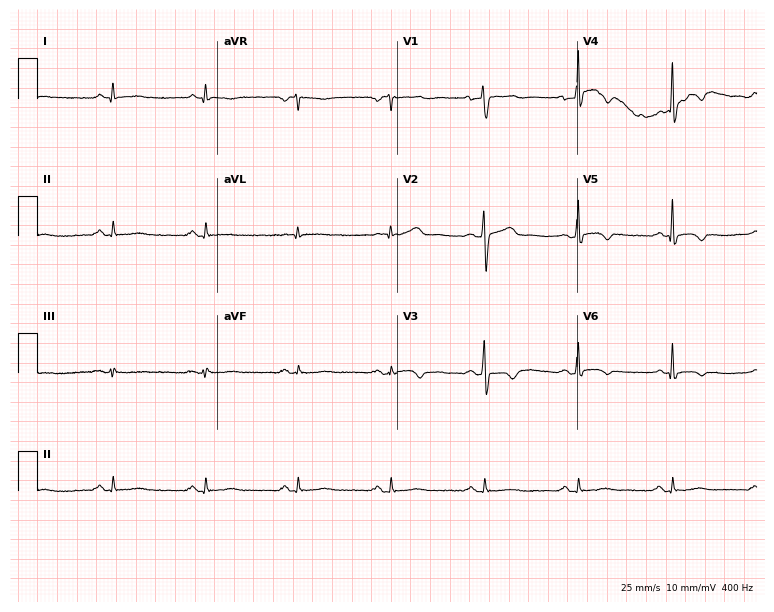
12-lead ECG from a man, 48 years old. Screened for six findings — first-degree AV block, right bundle branch block (RBBB), left bundle branch block (LBBB), sinus bradycardia, atrial fibrillation (AF), sinus tachycardia — none is recorded. Only these six findings were labelled.